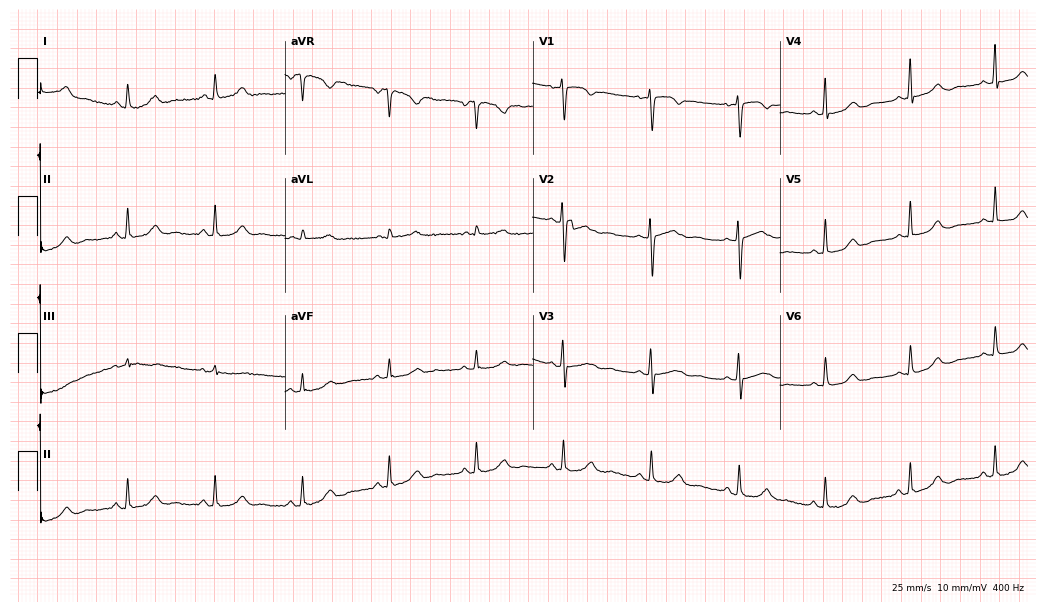
12-lead ECG from a 52-year-old female patient. No first-degree AV block, right bundle branch block (RBBB), left bundle branch block (LBBB), sinus bradycardia, atrial fibrillation (AF) or sinus tachycardia recorded for this tracing. Other findings, if any, are not listed.